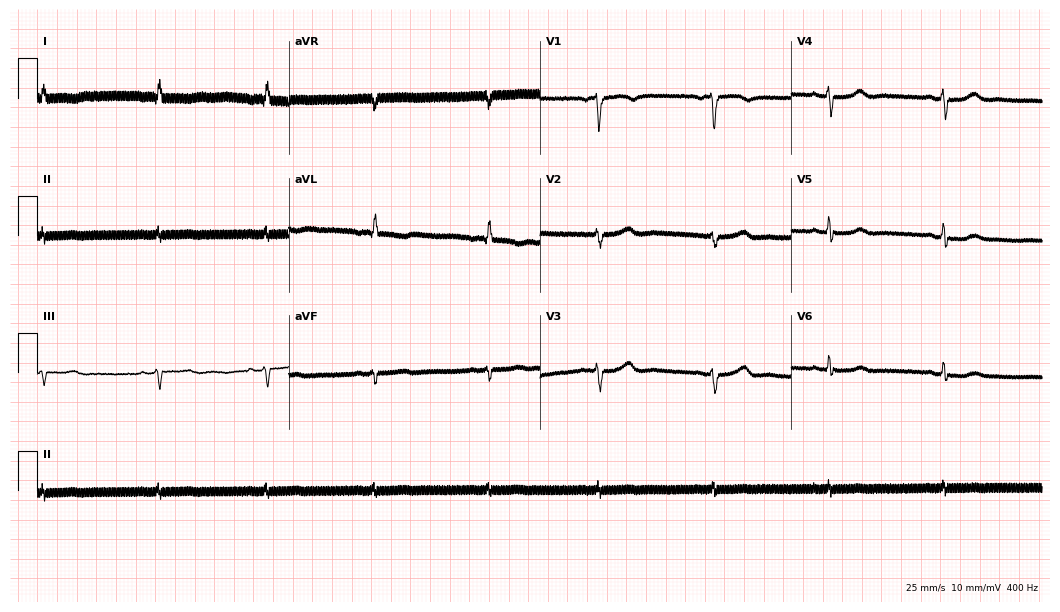
12-lead ECG from a female patient, 67 years old (10.2-second recording at 400 Hz). No first-degree AV block, right bundle branch block, left bundle branch block, sinus bradycardia, atrial fibrillation or sinus tachycardia recorded for this tracing. Only these six findings were labelled.